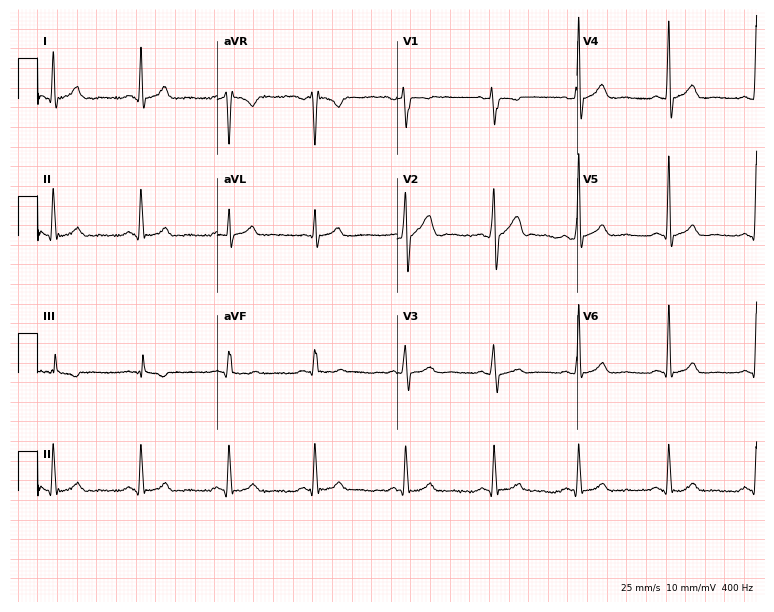
Standard 12-lead ECG recorded from a 28-year-old man (7.3-second recording at 400 Hz). Read as a normal ECG.